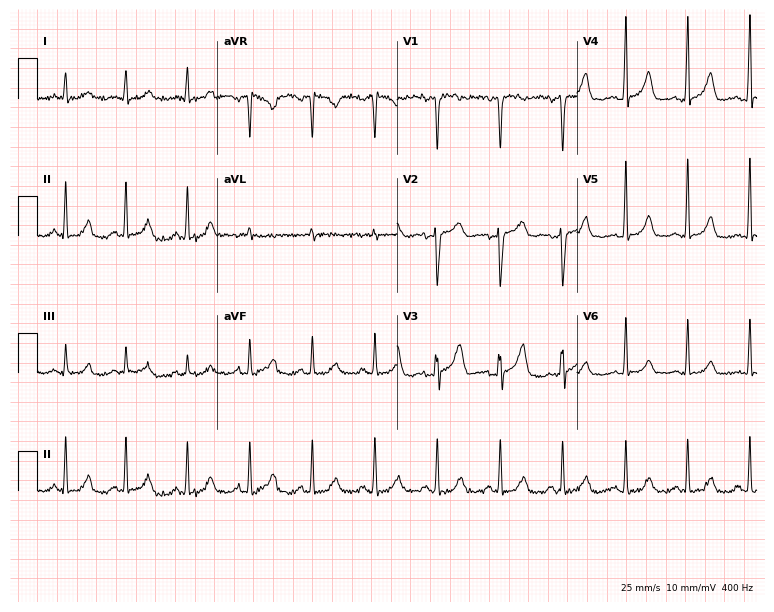
Standard 12-lead ECG recorded from a 55-year-old male (7.3-second recording at 400 Hz). Read as a normal ECG.